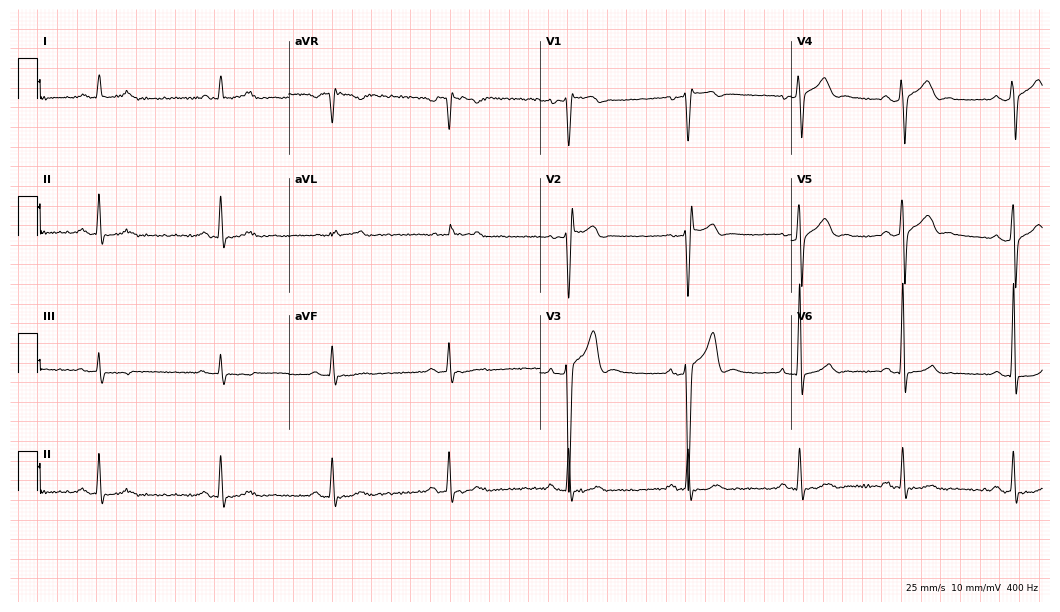
Standard 12-lead ECG recorded from a male patient, 24 years old (10.2-second recording at 400 Hz). None of these six findings is recorded: first-degree AV block, right bundle branch block (RBBB), left bundle branch block (LBBB), sinus bradycardia, atrial fibrillation (AF), sinus tachycardia. Findings outside these six are not listed.